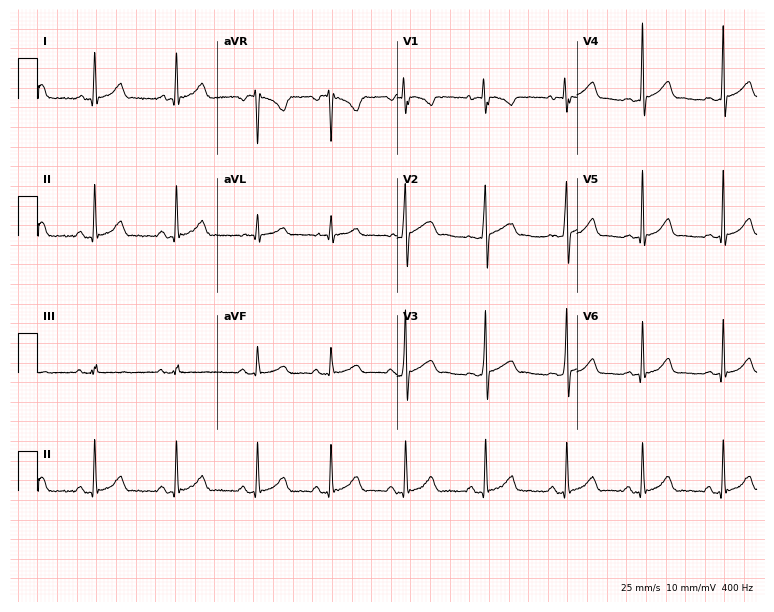
12-lead ECG (7.3-second recording at 400 Hz) from a woman, 17 years old. Labelled as a normal ECG.